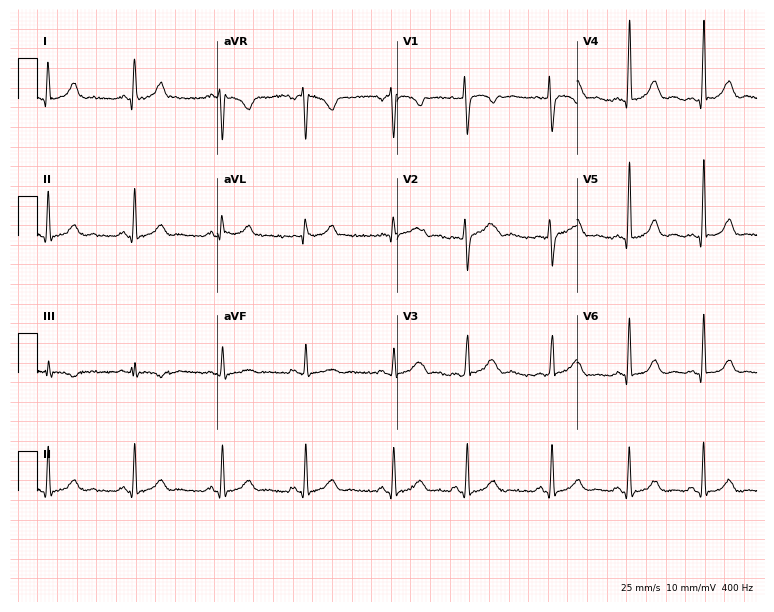
Resting 12-lead electrocardiogram (7.3-second recording at 400 Hz). Patient: a 27-year-old woman. Read as a normal ECG.